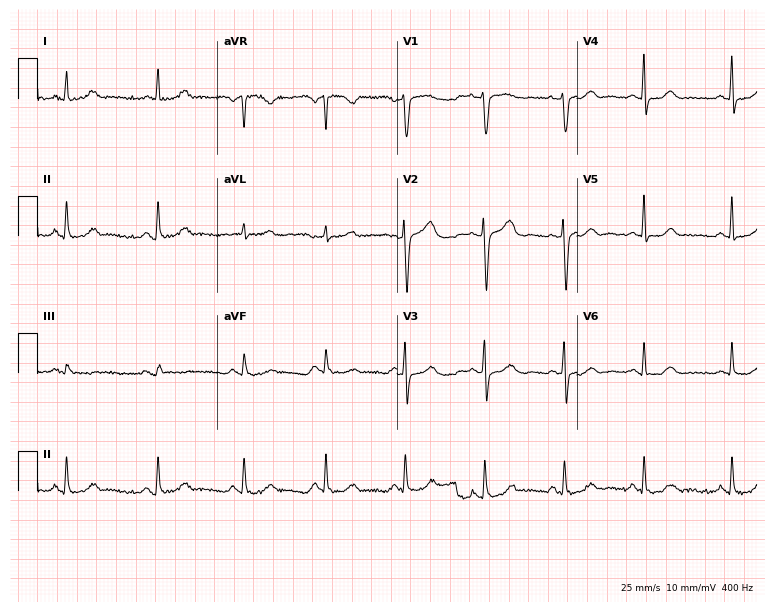
12-lead ECG from a female, 46 years old. Labelled as a normal ECG.